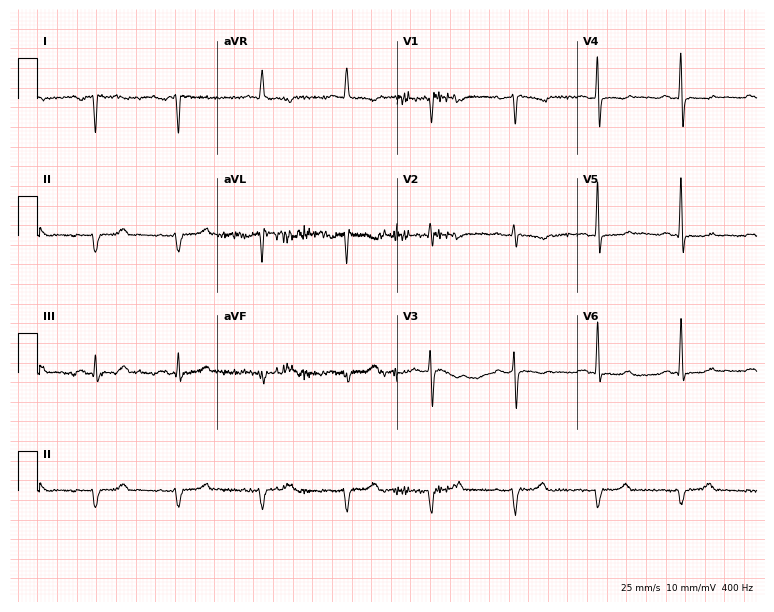
Standard 12-lead ECG recorded from a 66-year-old female. None of these six findings is recorded: first-degree AV block, right bundle branch block, left bundle branch block, sinus bradycardia, atrial fibrillation, sinus tachycardia.